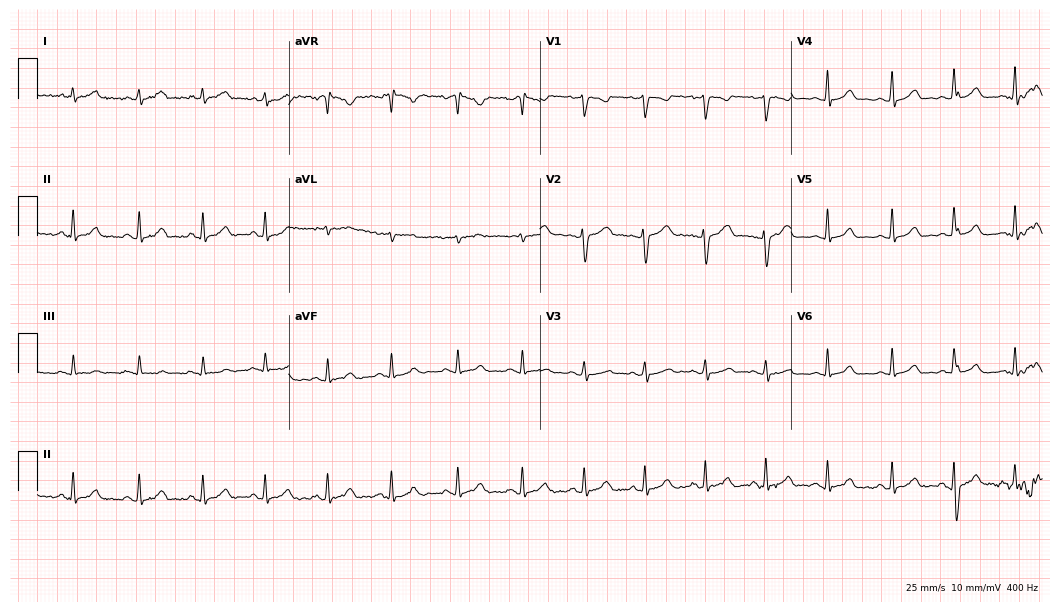
Electrocardiogram, a woman, 26 years old. Overall reading on record: normal ECG.